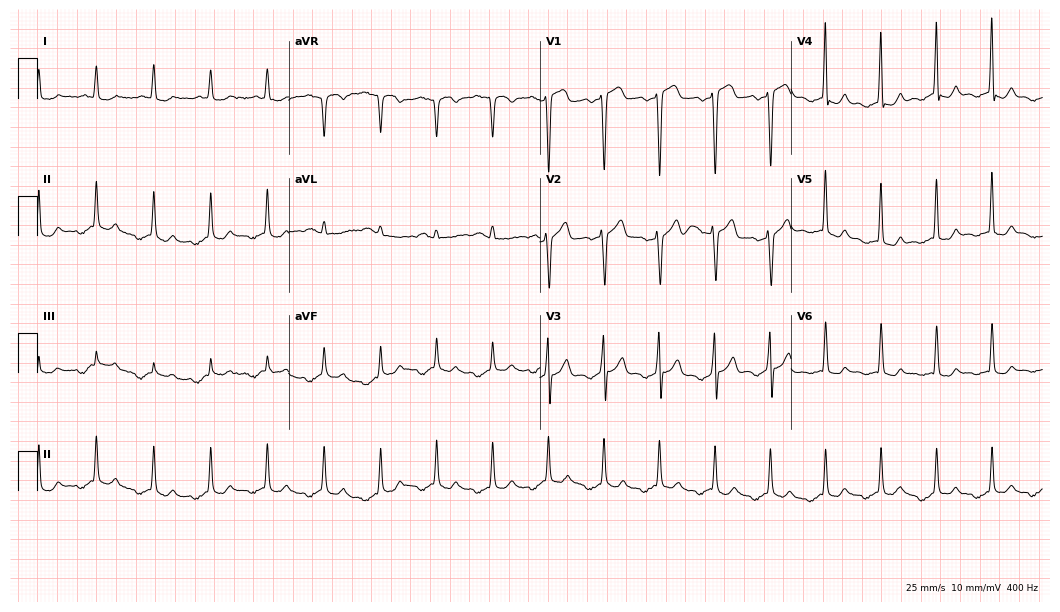
12-lead ECG from a woman, 52 years old. No first-degree AV block, right bundle branch block, left bundle branch block, sinus bradycardia, atrial fibrillation or sinus tachycardia recorded for this tracing.